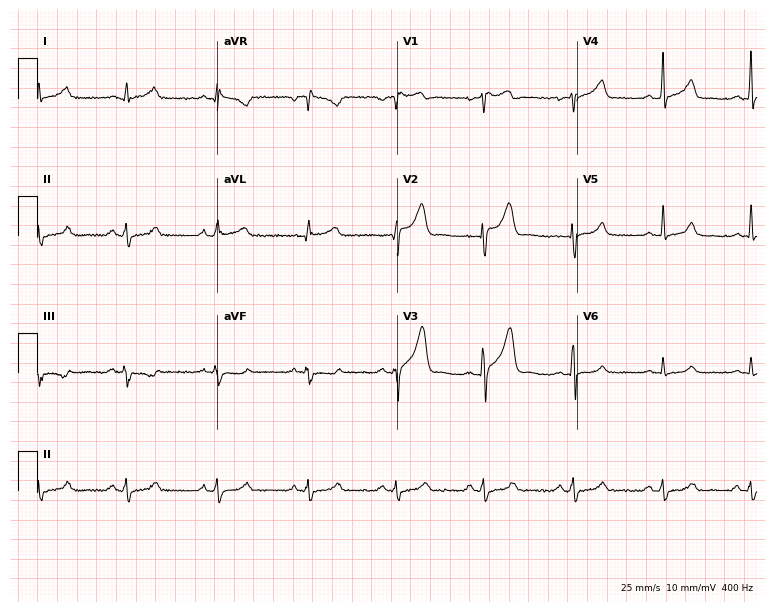
12-lead ECG from a 32-year-old male patient. Recorded interpretation: within normal limits.